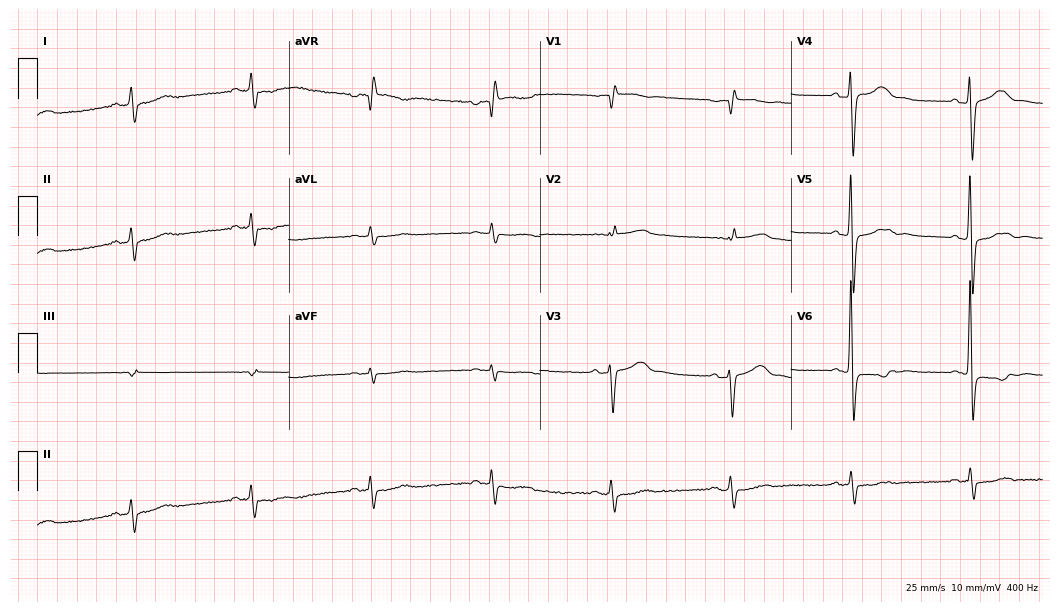
Resting 12-lead electrocardiogram (10.2-second recording at 400 Hz). Patient: a man, 64 years old. The tracing shows sinus bradycardia (a sinus rate of 50 beats per minute or less).